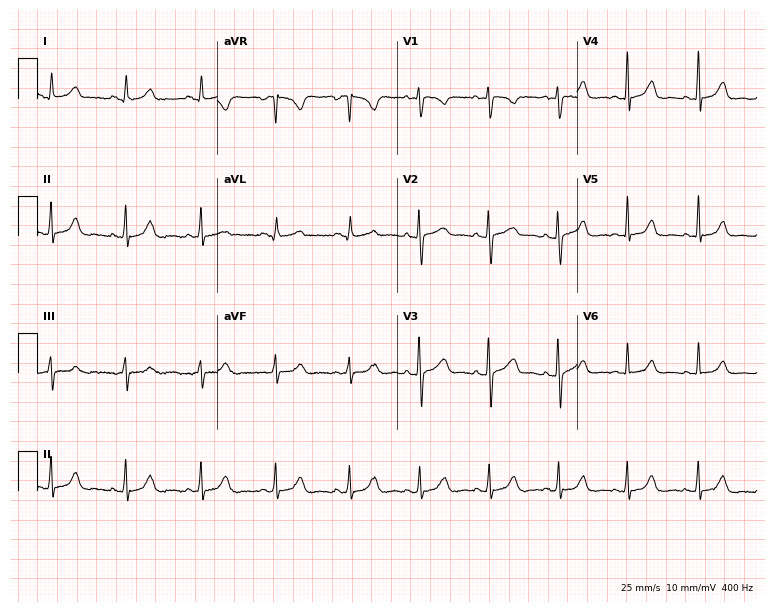
Electrocardiogram, a 27-year-old woman. Overall reading on record: normal ECG.